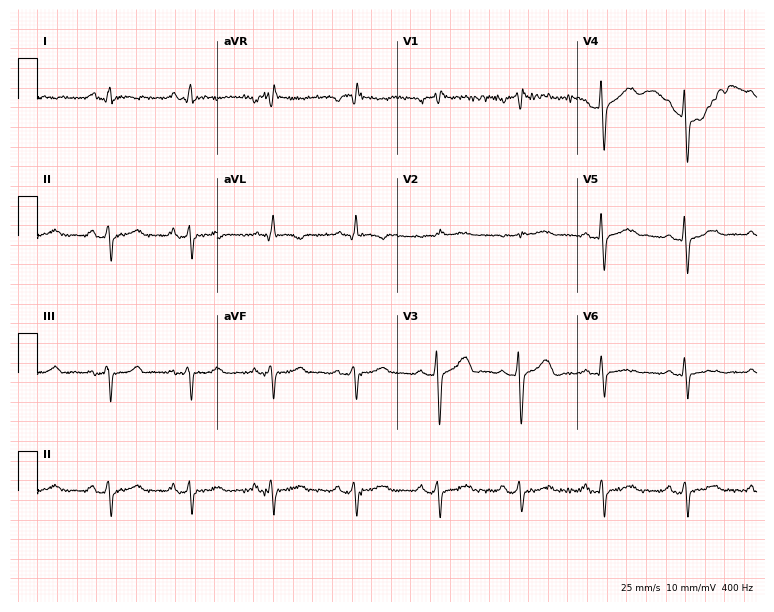
ECG (7.3-second recording at 400 Hz) — a female patient, 70 years old. Screened for six findings — first-degree AV block, right bundle branch block, left bundle branch block, sinus bradycardia, atrial fibrillation, sinus tachycardia — none is recorded.